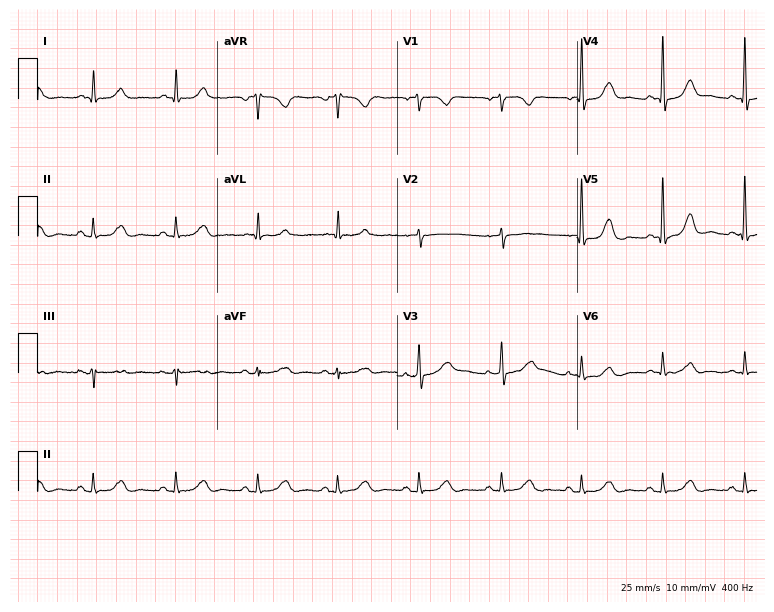
ECG — a female, 75 years old. Labelled as a normal ECG.